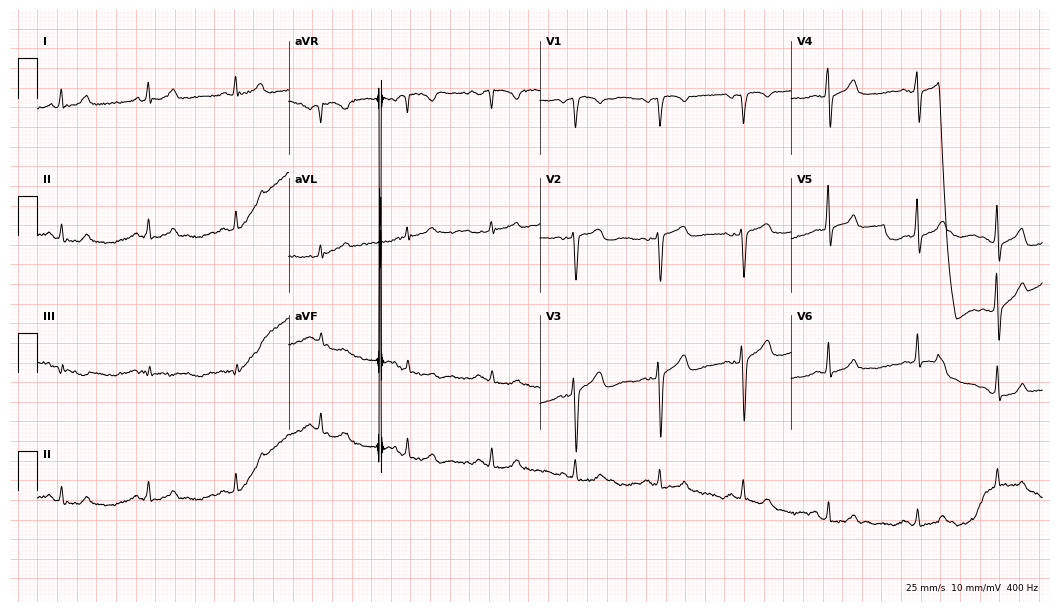
Electrocardiogram, a 64-year-old male. Of the six screened findings (first-degree AV block, right bundle branch block (RBBB), left bundle branch block (LBBB), sinus bradycardia, atrial fibrillation (AF), sinus tachycardia), none is recorded. Other findings, if any, are not listed.